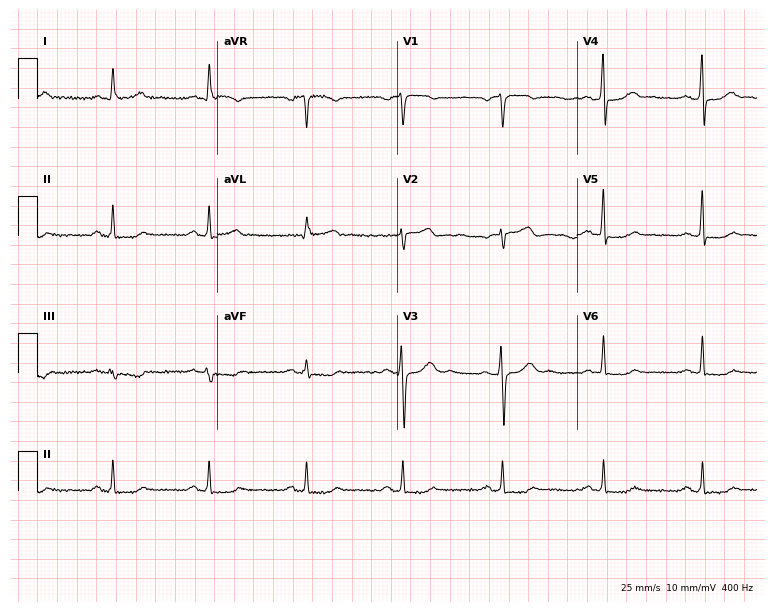
Electrocardiogram, a male, 64 years old. Overall reading on record: normal ECG.